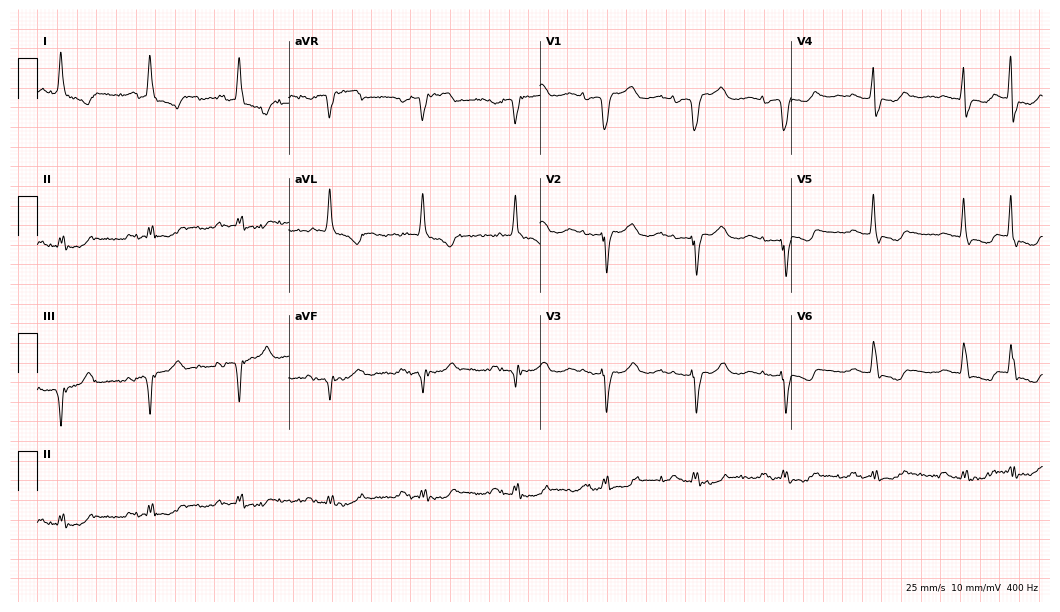
12-lead ECG (10.2-second recording at 400 Hz) from an 80-year-old female. Findings include first-degree AV block.